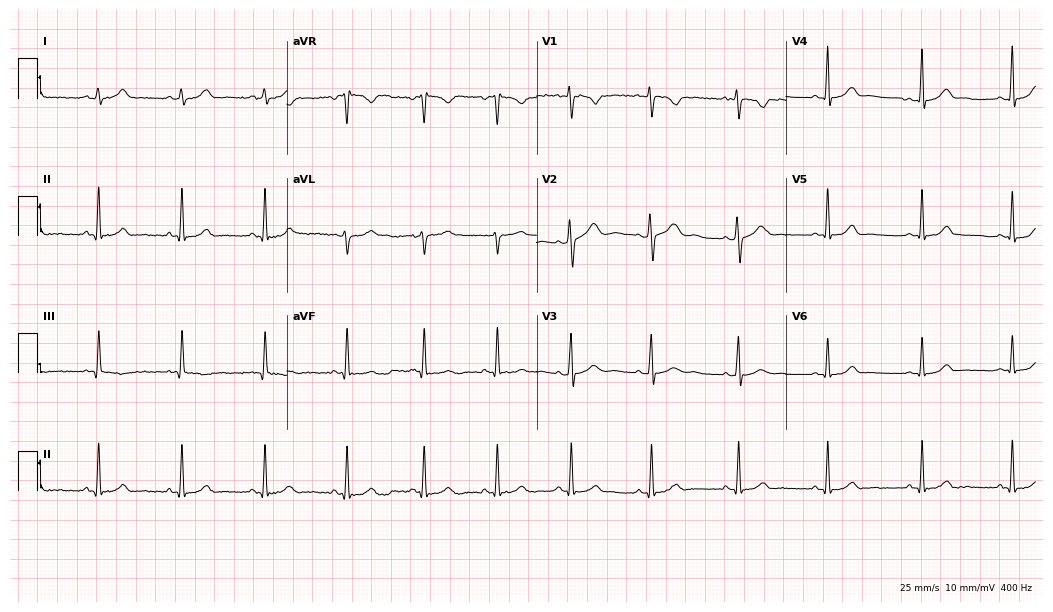
ECG (10.2-second recording at 400 Hz) — a female patient, 26 years old. Labelled as a normal ECG.